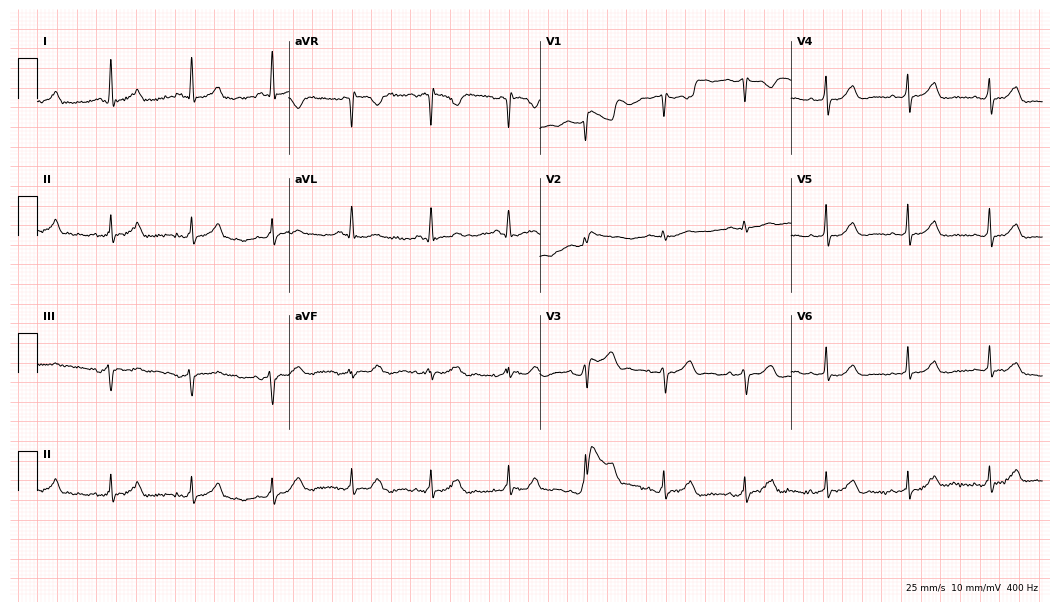
Standard 12-lead ECG recorded from a male patient, 59 years old. Read as a normal ECG.